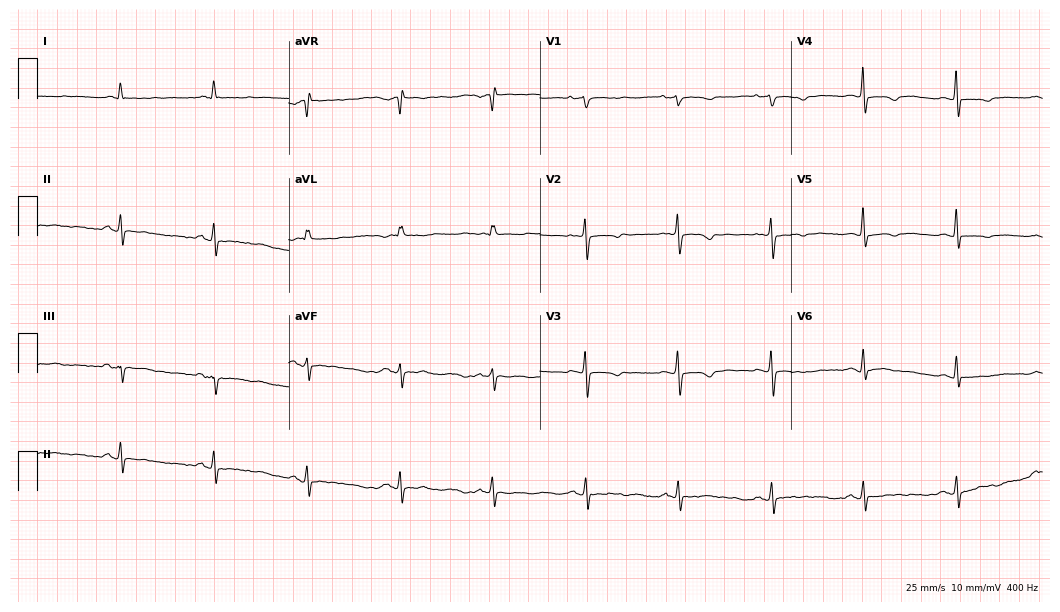
Standard 12-lead ECG recorded from an 83-year-old female. None of these six findings is recorded: first-degree AV block, right bundle branch block, left bundle branch block, sinus bradycardia, atrial fibrillation, sinus tachycardia. Findings outside these six are not listed.